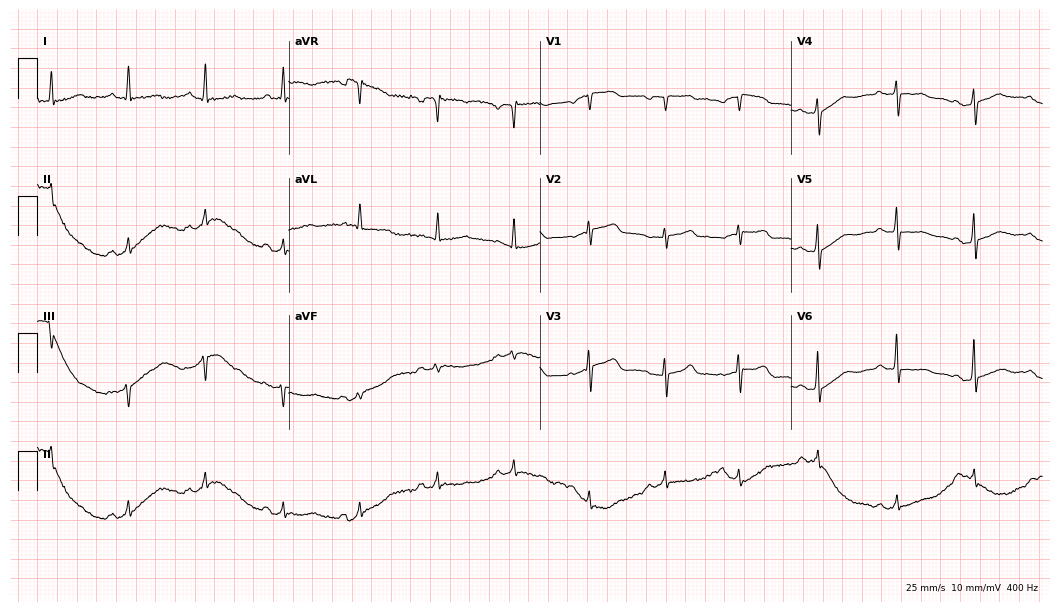
ECG (10.2-second recording at 400 Hz) — a 57-year-old woman. Screened for six findings — first-degree AV block, right bundle branch block, left bundle branch block, sinus bradycardia, atrial fibrillation, sinus tachycardia — none is recorded. Other findings, if any, are not listed.